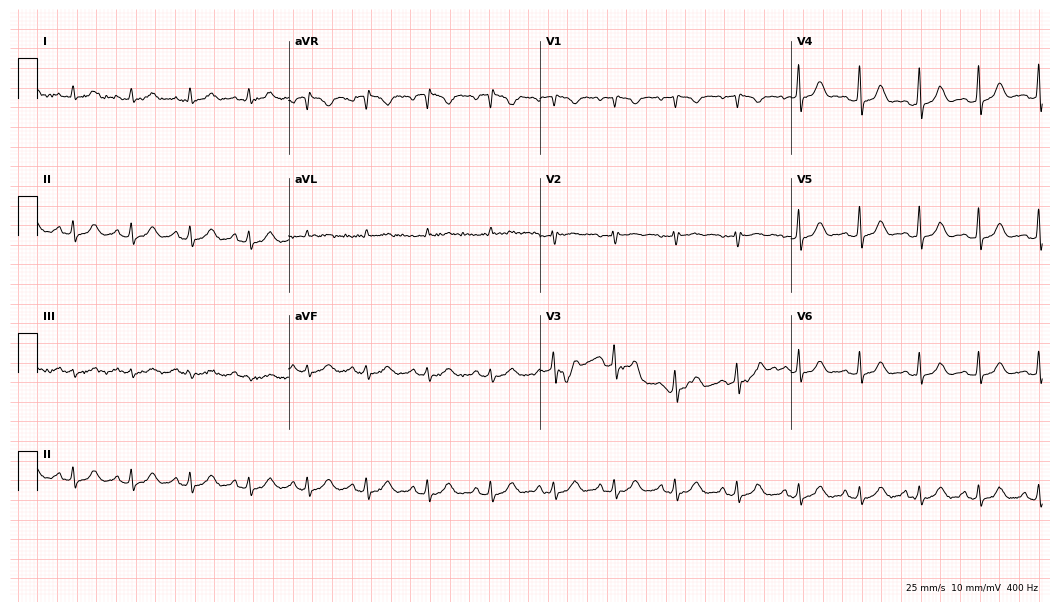
Electrocardiogram, a 27-year-old female. Of the six screened findings (first-degree AV block, right bundle branch block, left bundle branch block, sinus bradycardia, atrial fibrillation, sinus tachycardia), none is recorded. Findings outside these six are not listed.